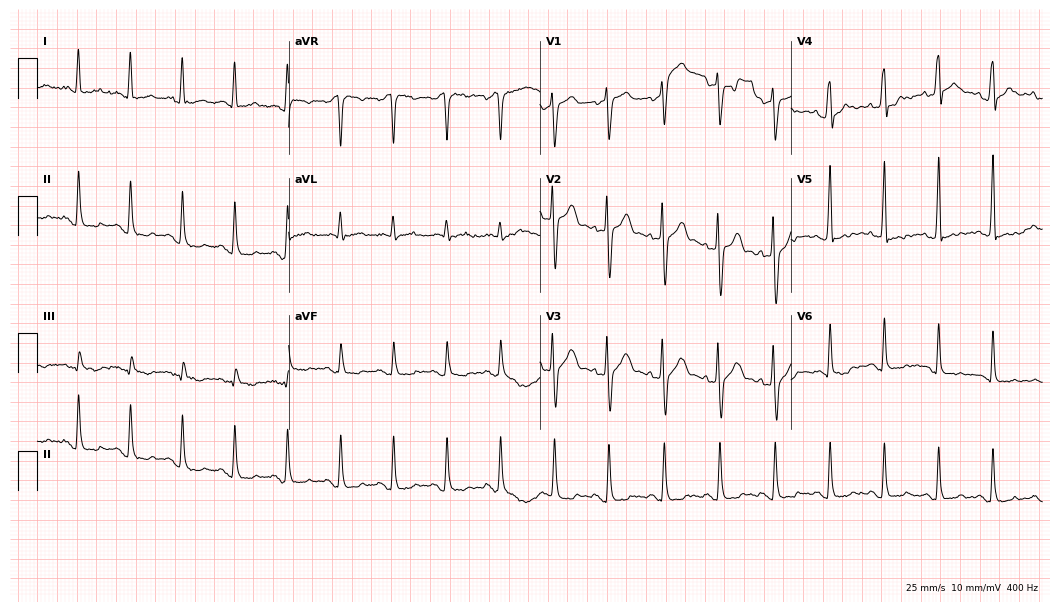
12-lead ECG from a 40-year-old male patient. Shows sinus tachycardia (a sinus rate of 100 beats per minute or more).